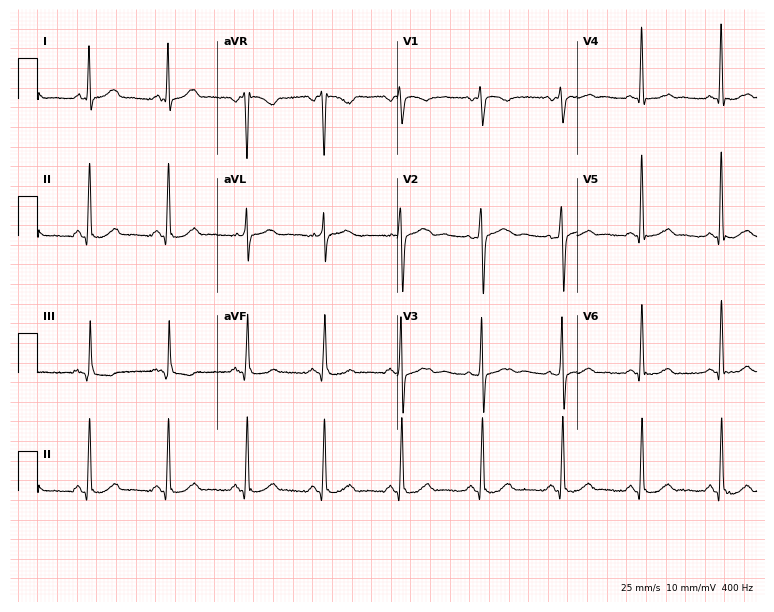
12-lead ECG from a 53-year-old female. Labelled as a normal ECG.